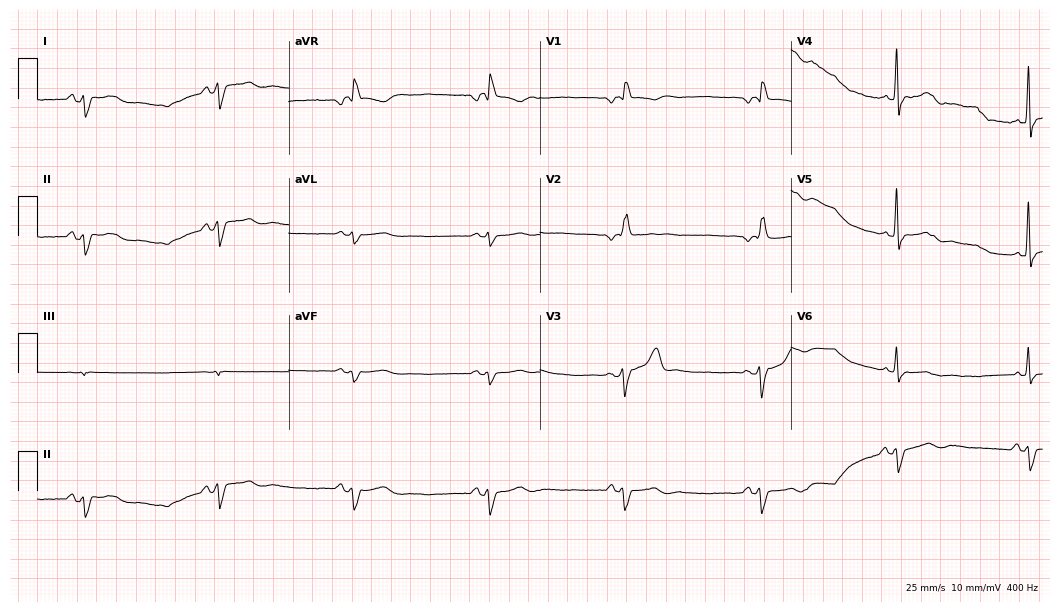
Standard 12-lead ECG recorded from a 56-year-old man. None of these six findings is recorded: first-degree AV block, right bundle branch block (RBBB), left bundle branch block (LBBB), sinus bradycardia, atrial fibrillation (AF), sinus tachycardia. Findings outside these six are not listed.